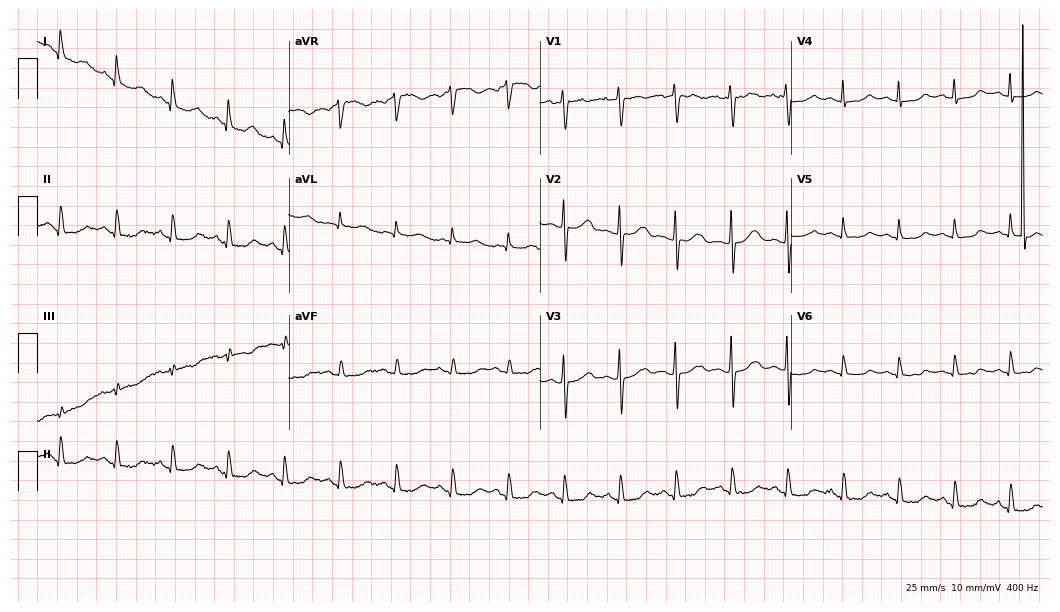
Electrocardiogram (10.2-second recording at 400 Hz), a 63-year-old female. Of the six screened findings (first-degree AV block, right bundle branch block, left bundle branch block, sinus bradycardia, atrial fibrillation, sinus tachycardia), none is recorded.